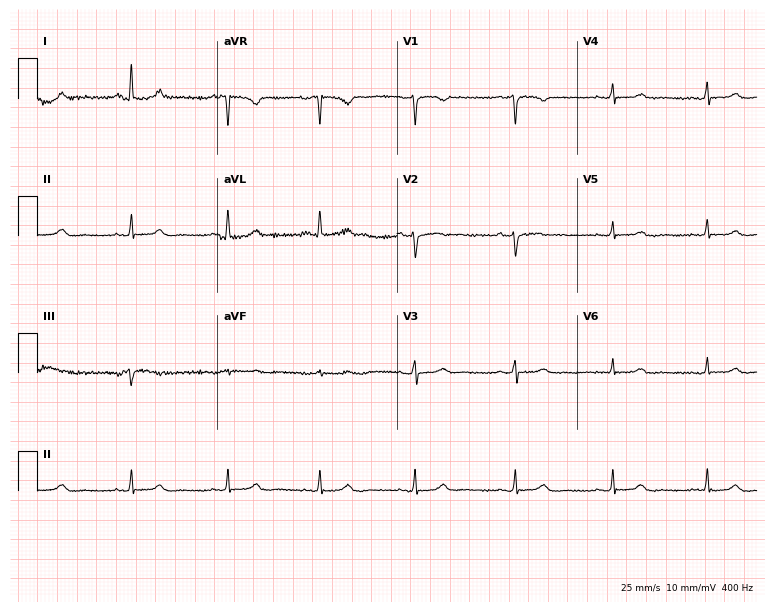
ECG — a woman, 54 years old. Screened for six findings — first-degree AV block, right bundle branch block (RBBB), left bundle branch block (LBBB), sinus bradycardia, atrial fibrillation (AF), sinus tachycardia — none is recorded.